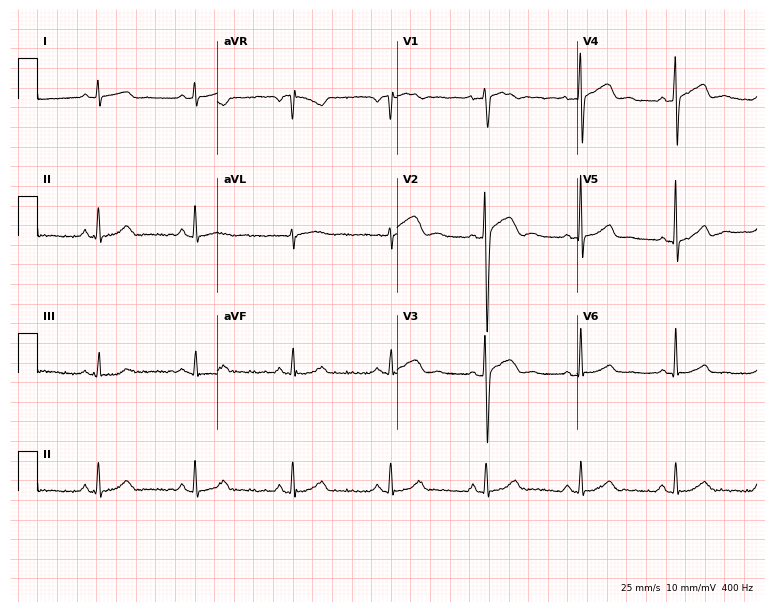
12-lead ECG from a male, 41 years old. Labelled as a normal ECG.